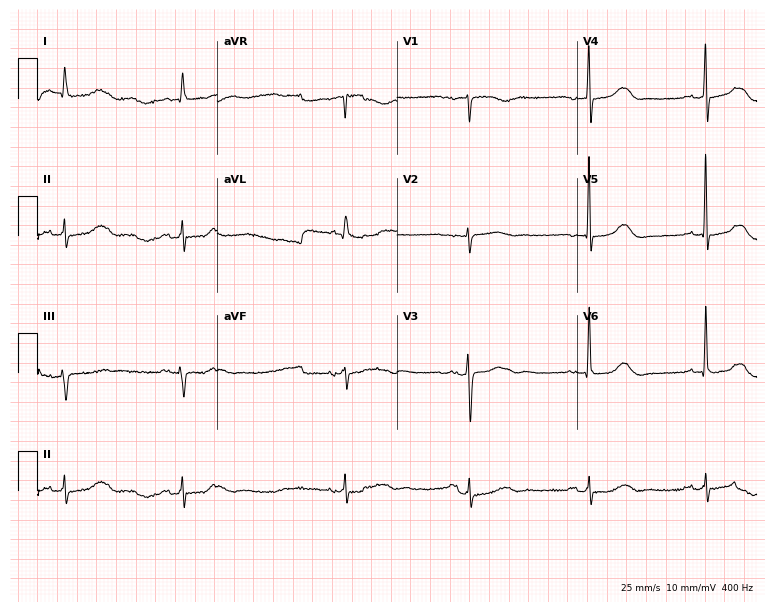
Electrocardiogram (7.3-second recording at 400 Hz), a female patient, 76 years old. Interpretation includes sinus bradycardia (a sinus rate of 50 beats per minute or less).